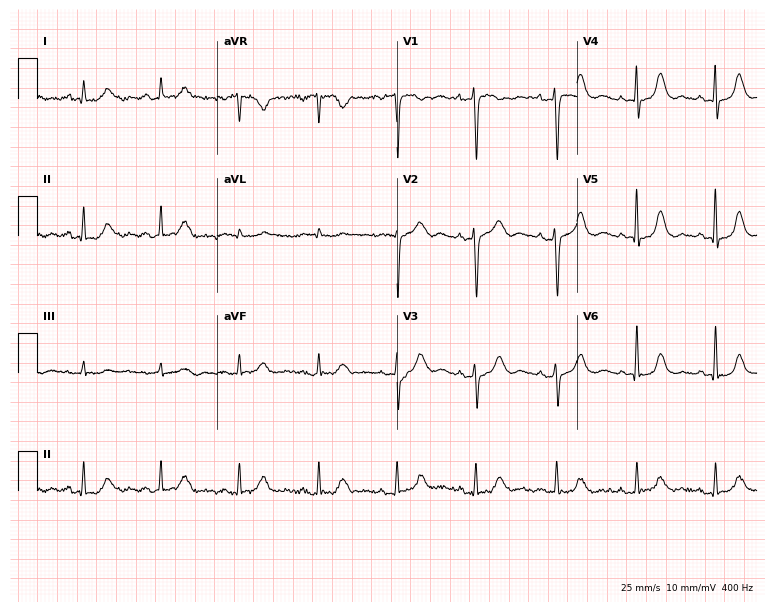
Resting 12-lead electrocardiogram. Patient: a female, 58 years old. None of these six findings is recorded: first-degree AV block, right bundle branch block, left bundle branch block, sinus bradycardia, atrial fibrillation, sinus tachycardia. Only these six findings were labelled.